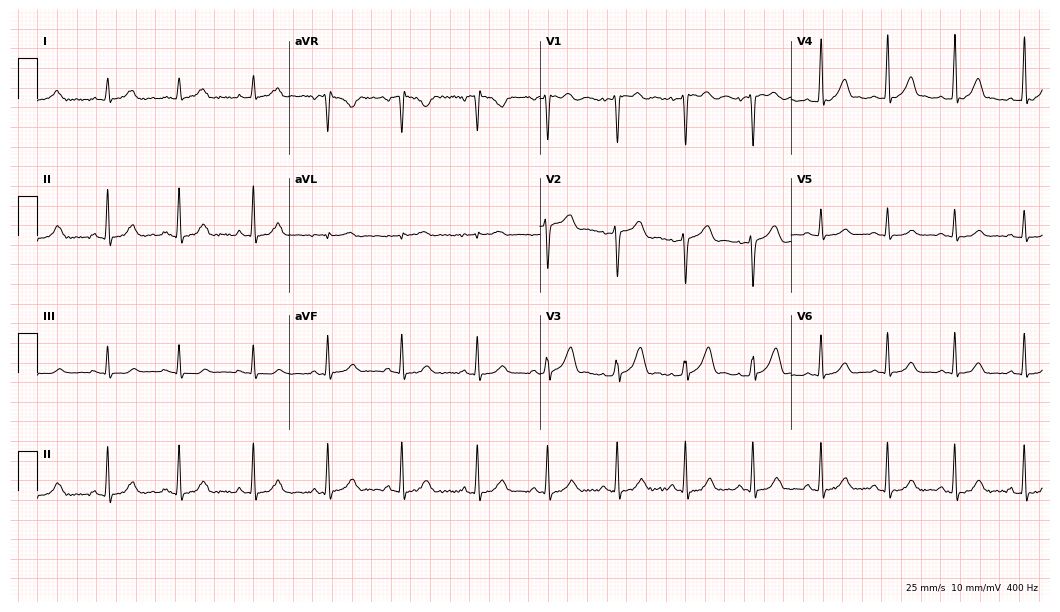
ECG (10.2-second recording at 400 Hz) — a 27-year-old female patient. Labelled as a normal ECG.